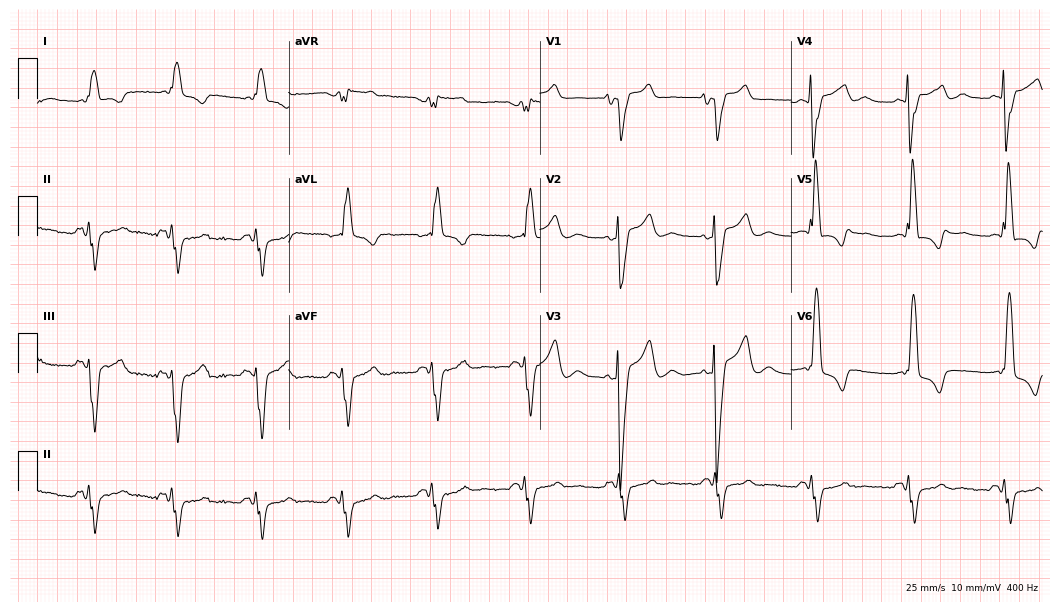
ECG — a male patient, 48 years old. Findings include left bundle branch block.